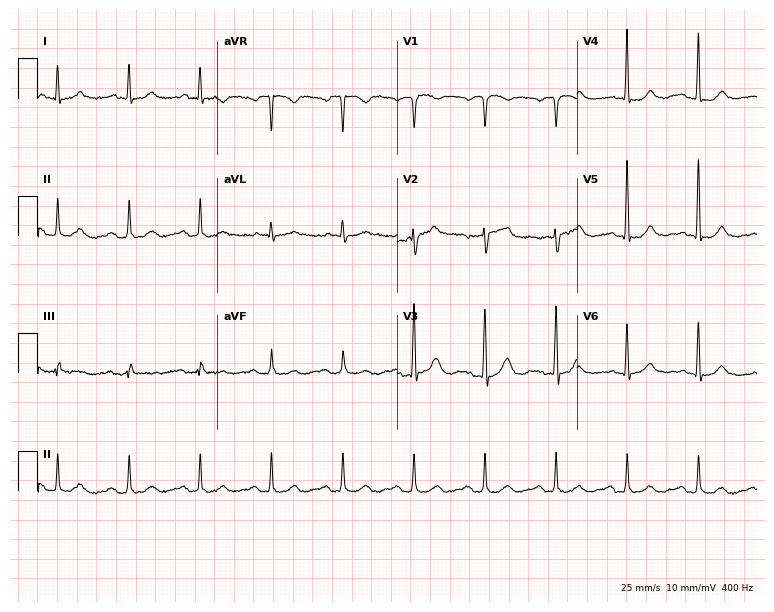
Electrocardiogram (7.3-second recording at 400 Hz), a male patient, 67 years old. Of the six screened findings (first-degree AV block, right bundle branch block (RBBB), left bundle branch block (LBBB), sinus bradycardia, atrial fibrillation (AF), sinus tachycardia), none is recorded. Only these six findings were labelled.